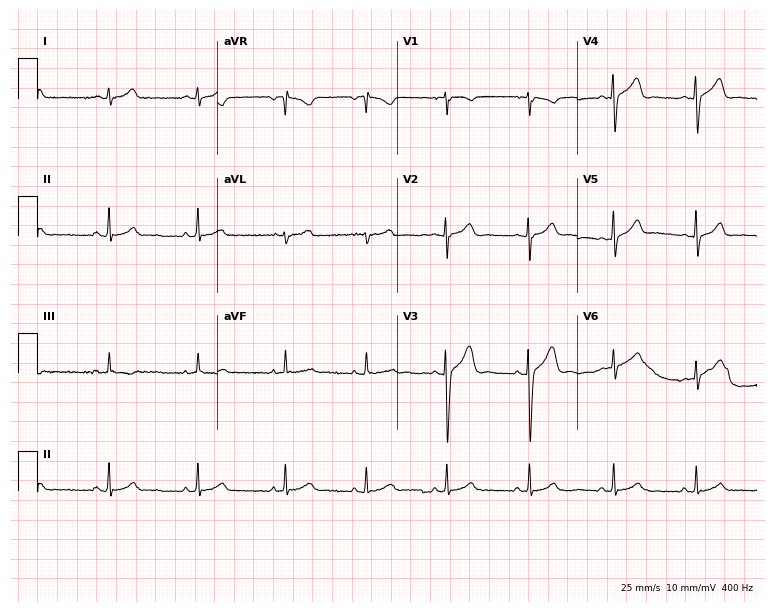
12-lead ECG (7.3-second recording at 400 Hz) from a 22-year-old man. Labelled as a normal ECG.